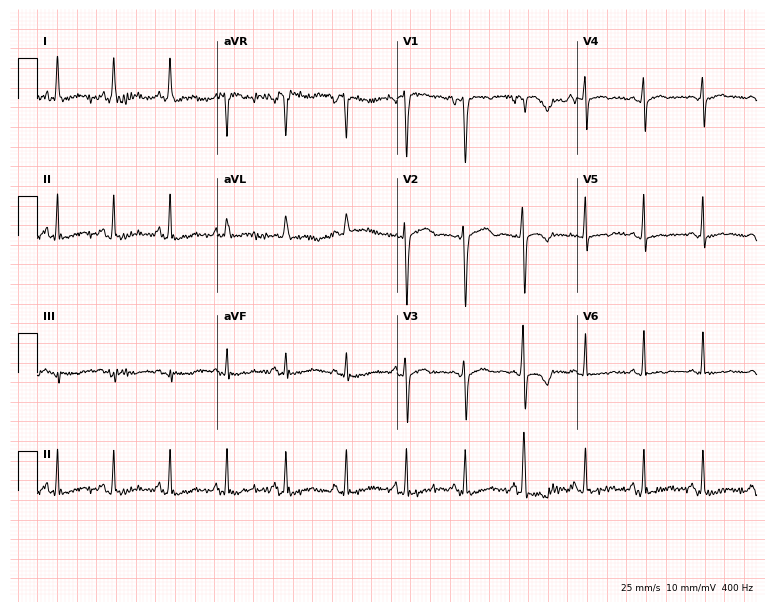
12-lead ECG (7.3-second recording at 400 Hz) from a 40-year-old woman. Findings include sinus tachycardia (a sinus rate of 100 beats per minute or more).